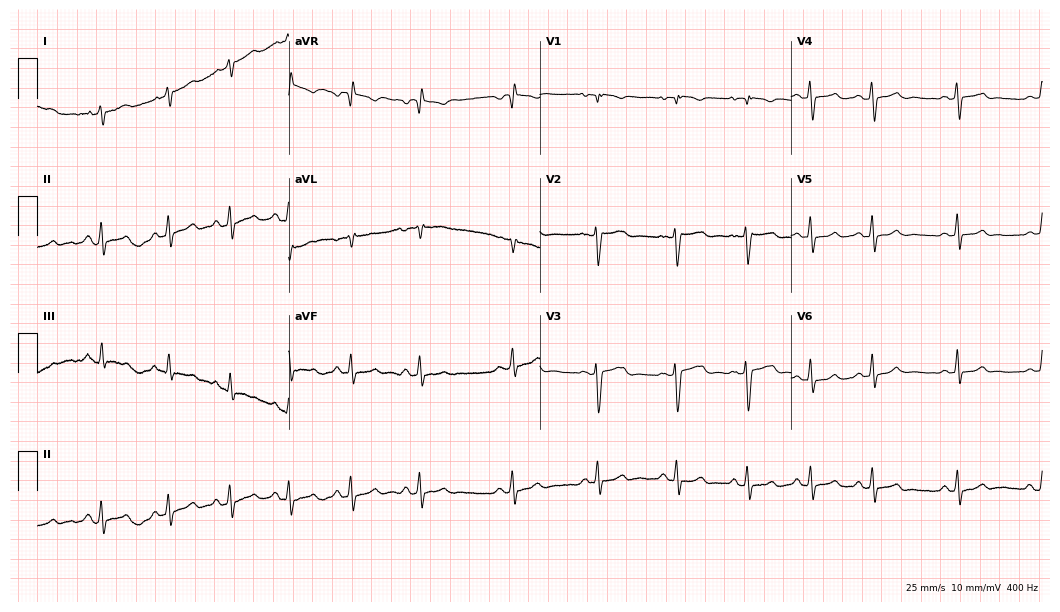
ECG (10.2-second recording at 400 Hz) — a 17-year-old female patient. Labelled as a normal ECG.